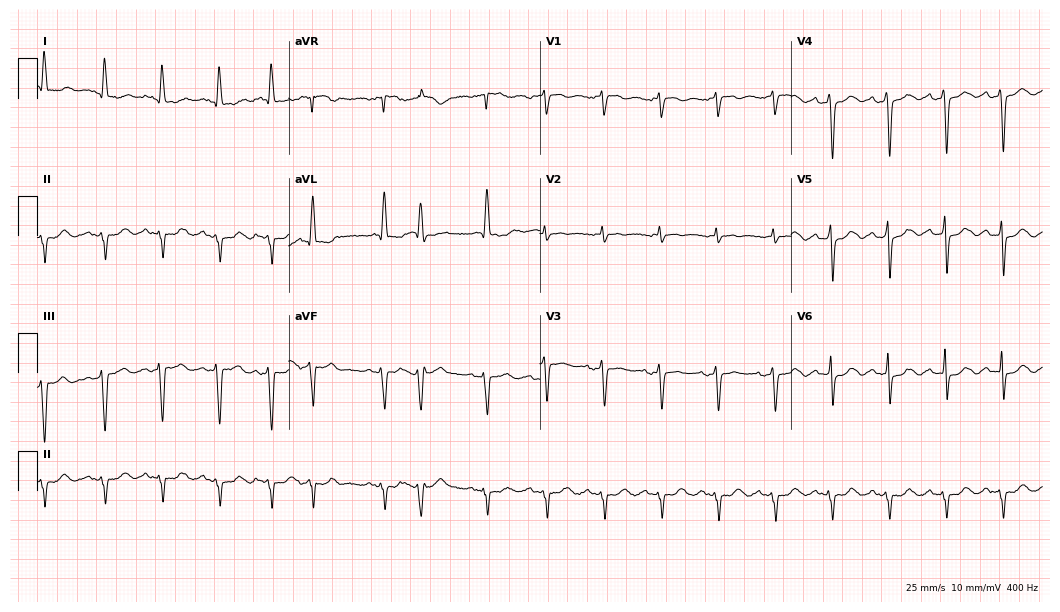
Electrocardiogram, a female, 84 years old. Interpretation includes sinus tachycardia (a sinus rate of 100 beats per minute or more).